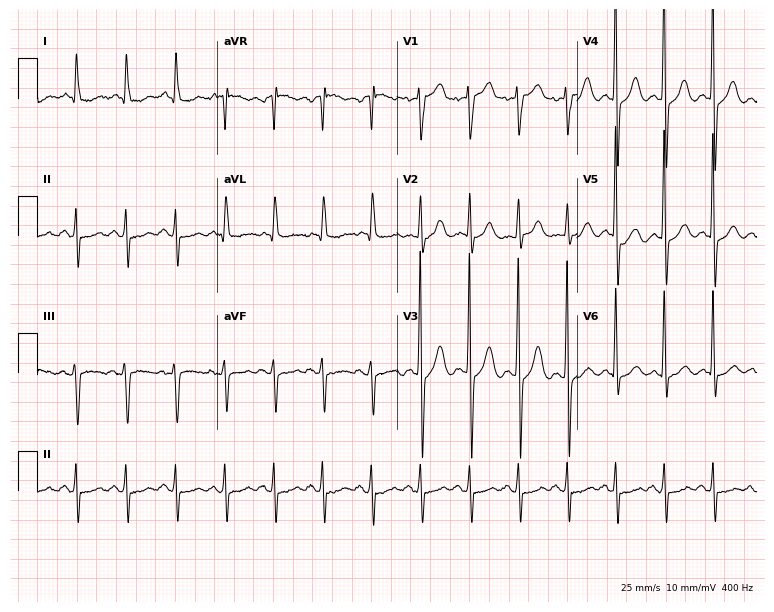
ECG (7.3-second recording at 400 Hz) — a 74-year-old man. Findings include sinus tachycardia (a sinus rate of 100 beats per minute or more).